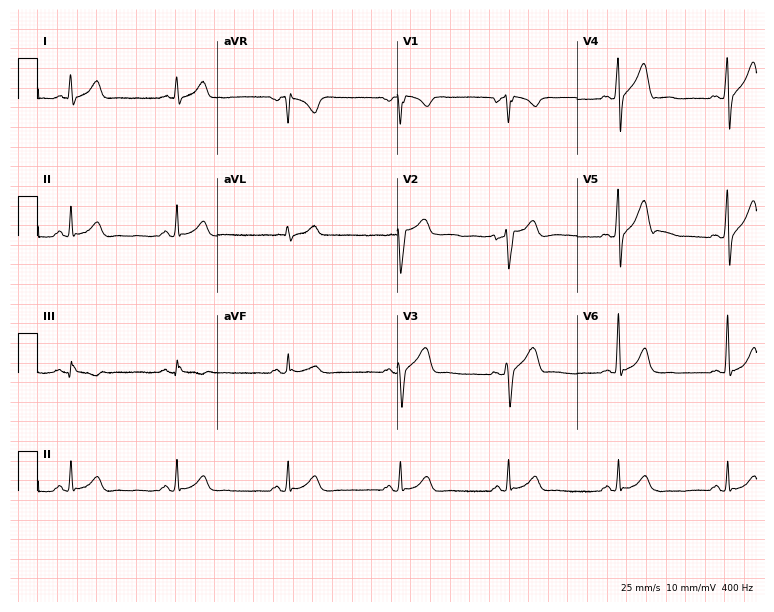
Standard 12-lead ECG recorded from a 41-year-old male patient (7.3-second recording at 400 Hz). Read as a normal ECG.